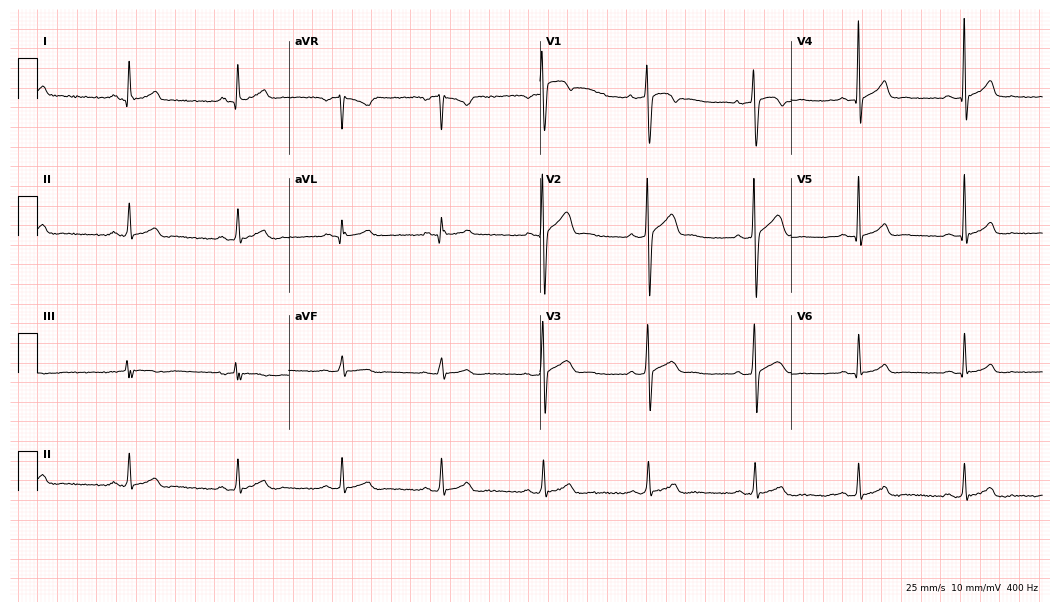
Standard 12-lead ECG recorded from a male patient, 34 years old. Read as a normal ECG.